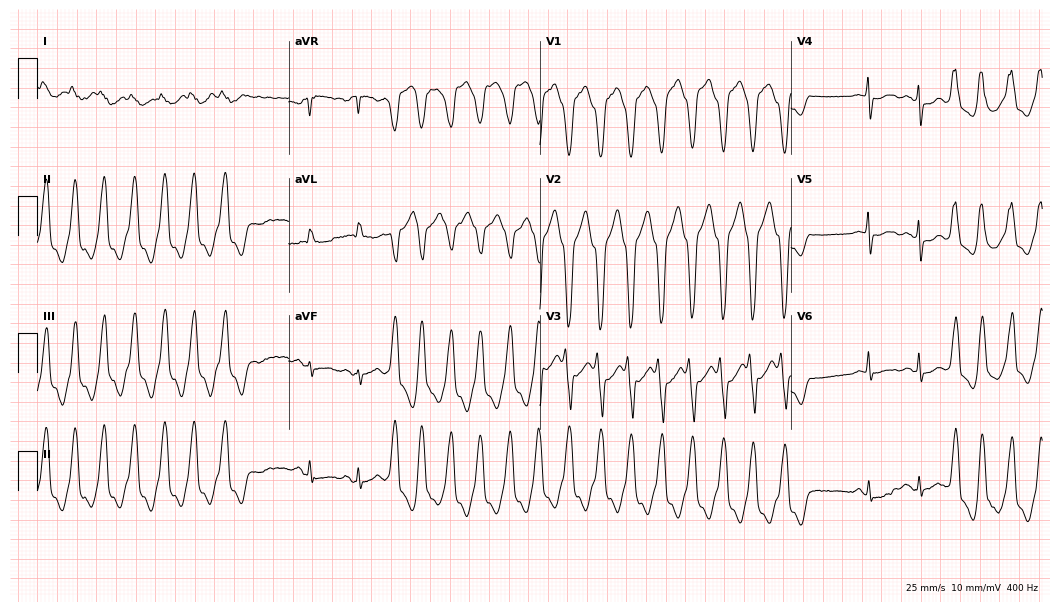
12-lead ECG (10.2-second recording at 400 Hz) from a female patient, 61 years old. Findings include sinus tachycardia (a sinus rate of 100 beats per minute or more).